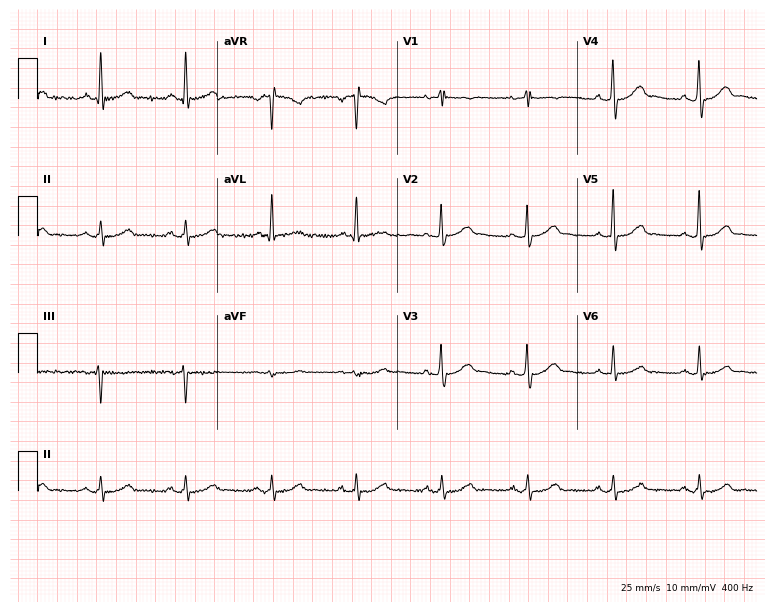
Electrocardiogram (7.3-second recording at 400 Hz), a 76-year-old female. Overall reading on record: normal ECG.